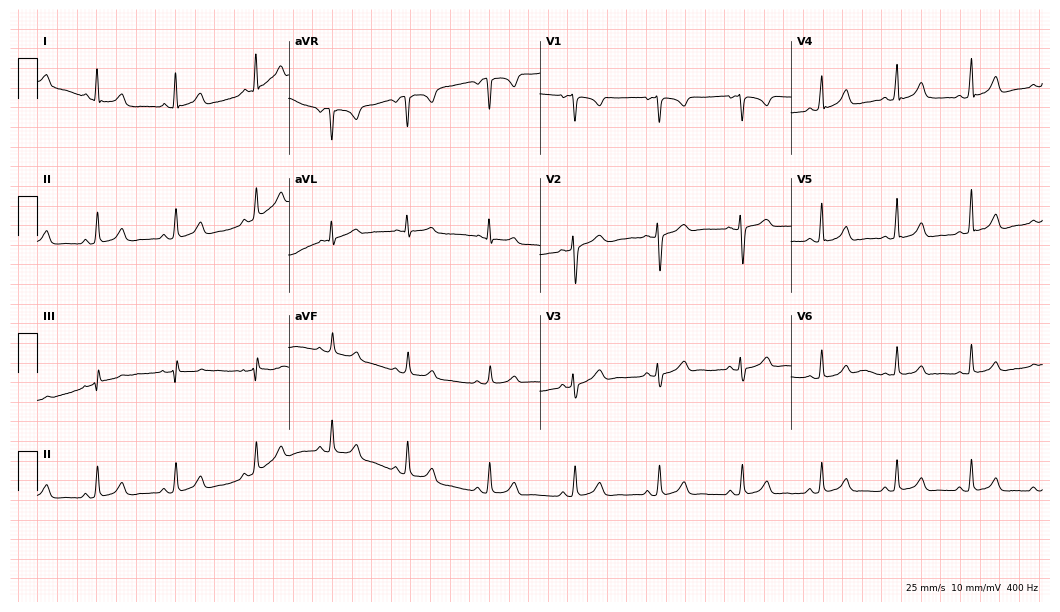
12-lead ECG from a female patient, 23 years old (10.2-second recording at 400 Hz). Recorded interpretation: within normal limits.